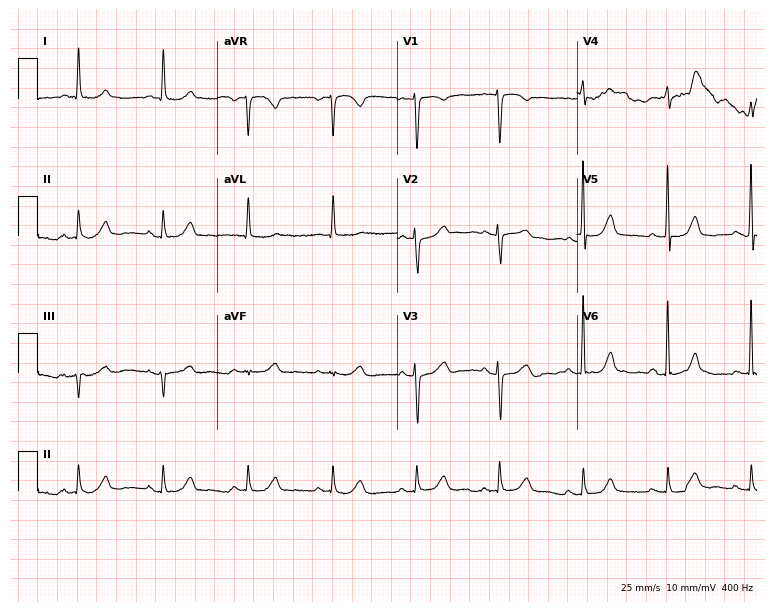
12-lead ECG from a 77-year-old female (7.3-second recording at 400 Hz). No first-degree AV block, right bundle branch block (RBBB), left bundle branch block (LBBB), sinus bradycardia, atrial fibrillation (AF) or sinus tachycardia recorded for this tracing.